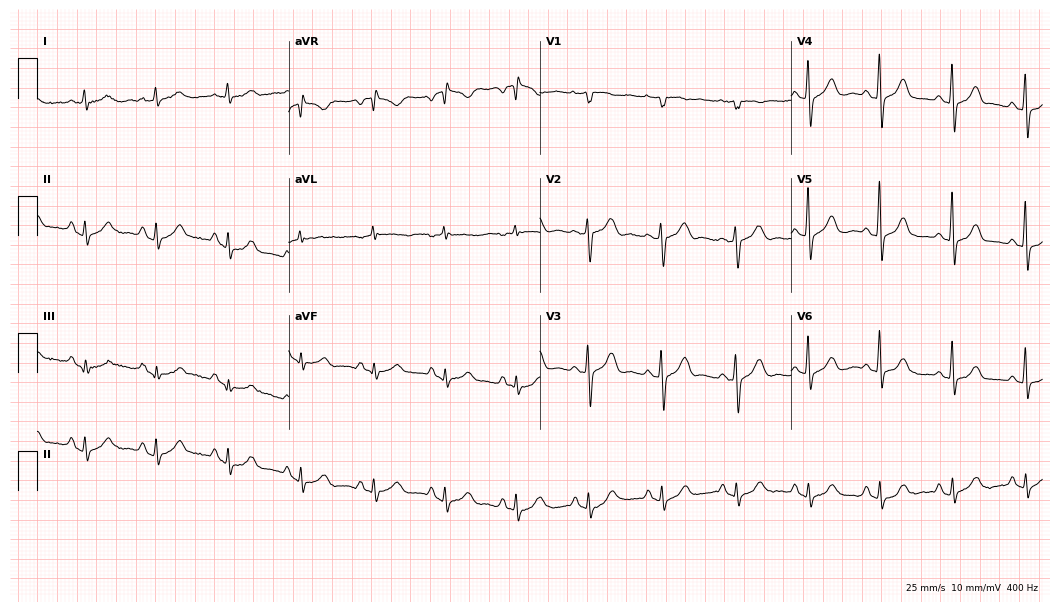
Resting 12-lead electrocardiogram (10.2-second recording at 400 Hz). Patient: a woman, 80 years old. Read as a normal ECG.